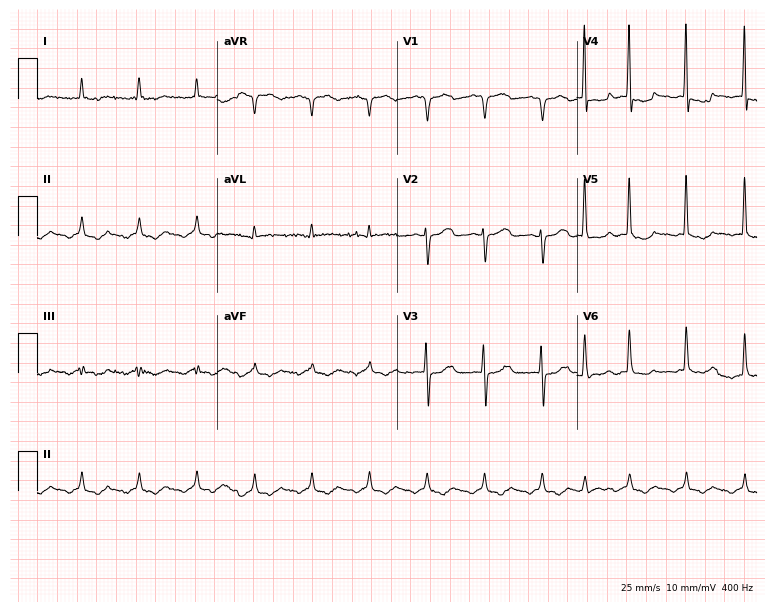
Resting 12-lead electrocardiogram. Patient: a male, 71 years old. The tracing shows atrial fibrillation.